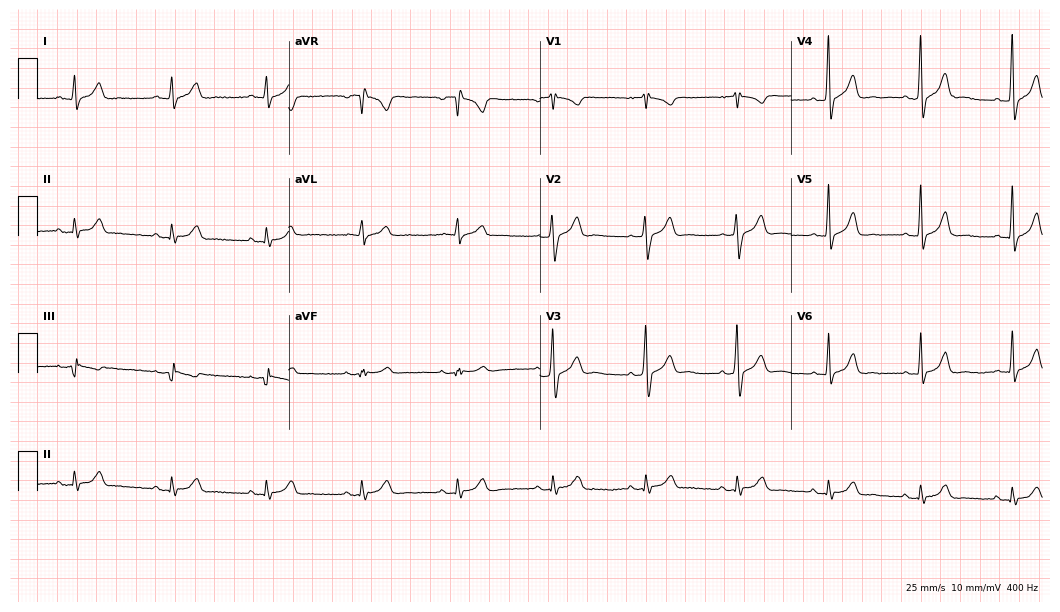
Standard 12-lead ECG recorded from a male, 37 years old. None of these six findings is recorded: first-degree AV block, right bundle branch block, left bundle branch block, sinus bradycardia, atrial fibrillation, sinus tachycardia. Only these six findings were labelled.